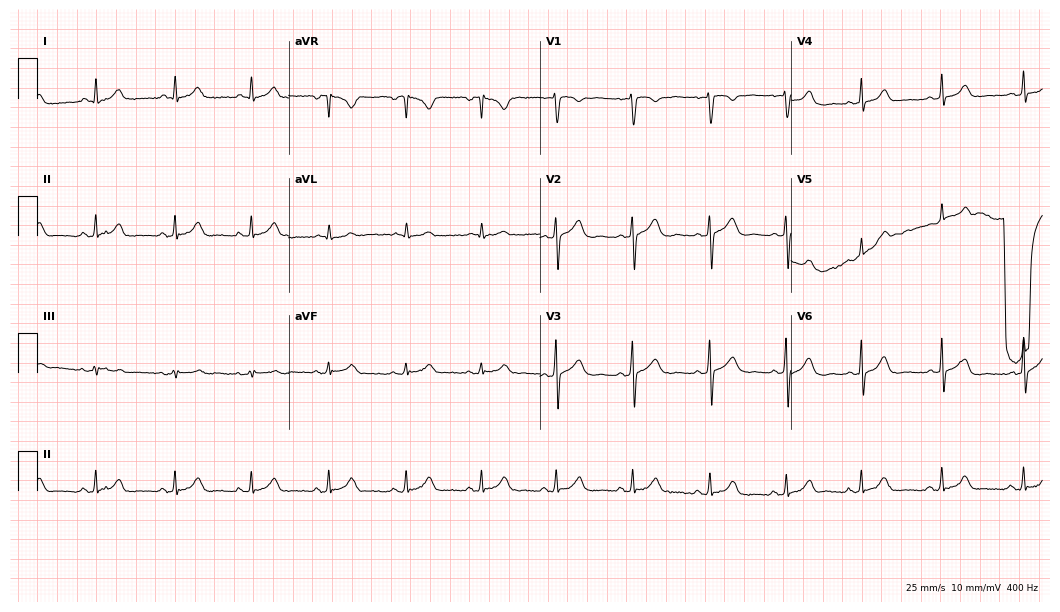
Resting 12-lead electrocardiogram (10.2-second recording at 400 Hz). Patient: a 23-year-old female. Read as a normal ECG.